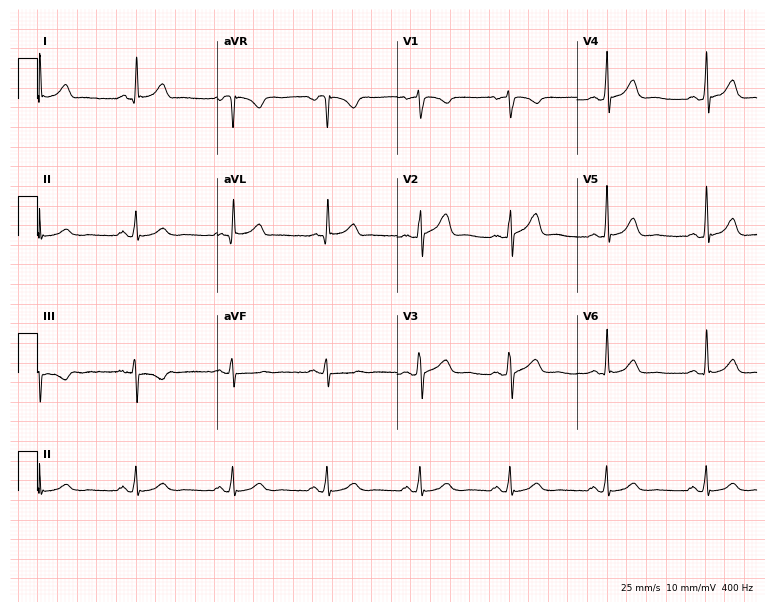
Resting 12-lead electrocardiogram (7.3-second recording at 400 Hz). Patient: a female, 44 years old. Read as a normal ECG.